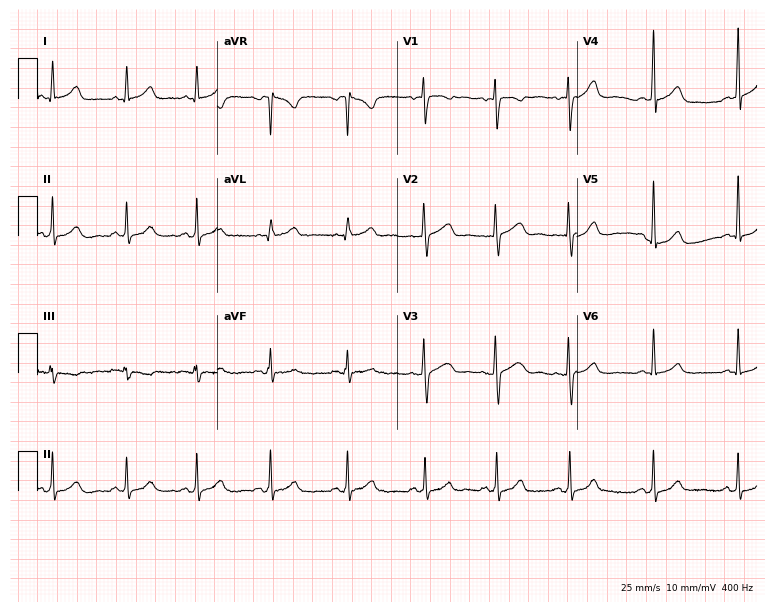
12-lead ECG from a female patient, 36 years old (7.3-second recording at 400 Hz). No first-degree AV block, right bundle branch block (RBBB), left bundle branch block (LBBB), sinus bradycardia, atrial fibrillation (AF) or sinus tachycardia recorded for this tracing. Other findings, if any, are not listed.